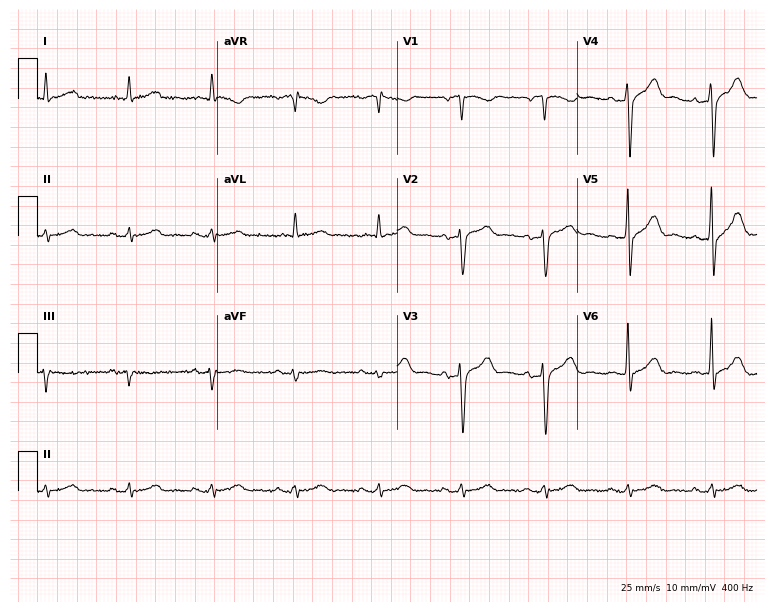
Resting 12-lead electrocardiogram. Patient: a male, 84 years old. Read as a normal ECG.